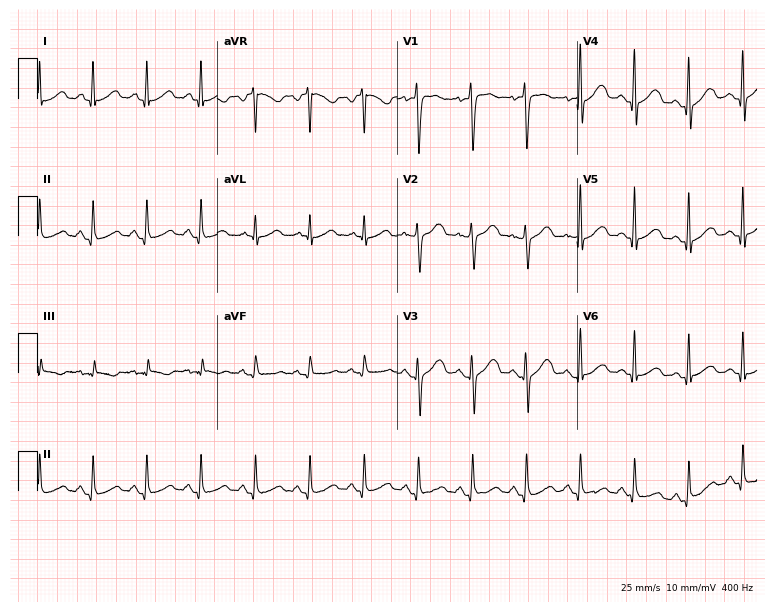
12-lead ECG (7.3-second recording at 400 Hz) from a 43-year-old female. Findings include sinus tachycardia (a sinus rate of 100 beats per minute or more).